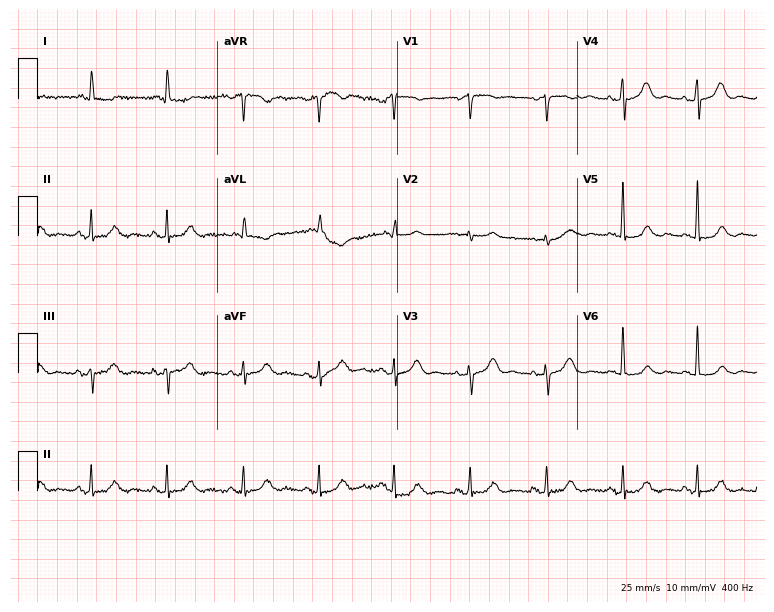
12-lead ECG from a female, 70 years old. Recorded interpretation: within normal limits.